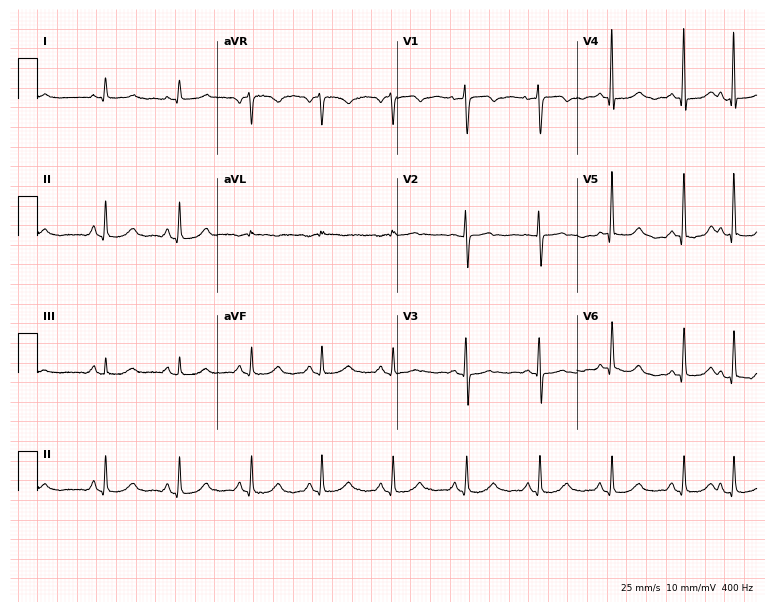
Resting 12-lead electrocardiogram (7.3-second recording at 400 Hz). Patient: a female, 73 years old. None of these six findings is recorded: first-degree AV block, right bundle branch block, left bundle branch block, sinus bradycardia, atrial fibrillation, sinus tachycardia. Only these six findings were labelled.